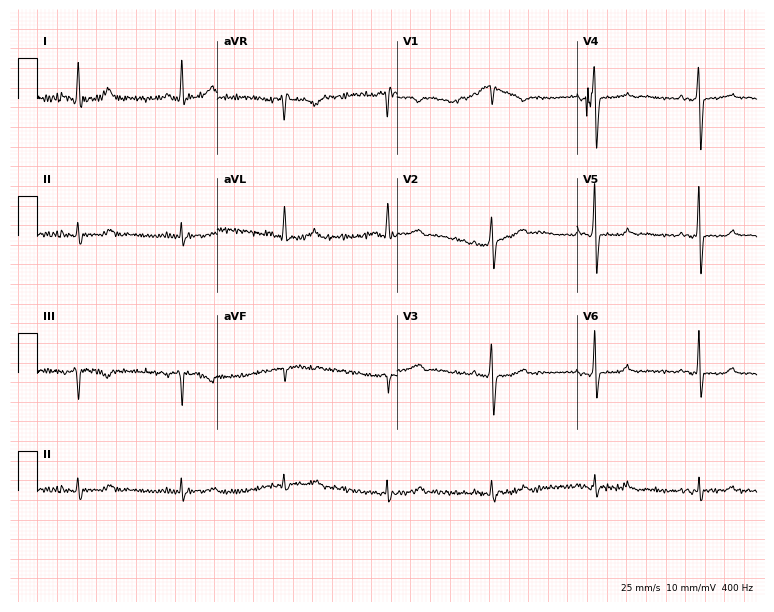
Standard 12-lead ECG recorded from a female patient, 59 years old. None of these six findings is recorded: first-degree AV block, right bundle branch block, left bundle branch block, sinus bradycardia, atrial fibrillation, sinus tachycardia. Findings outside these six are not listed.